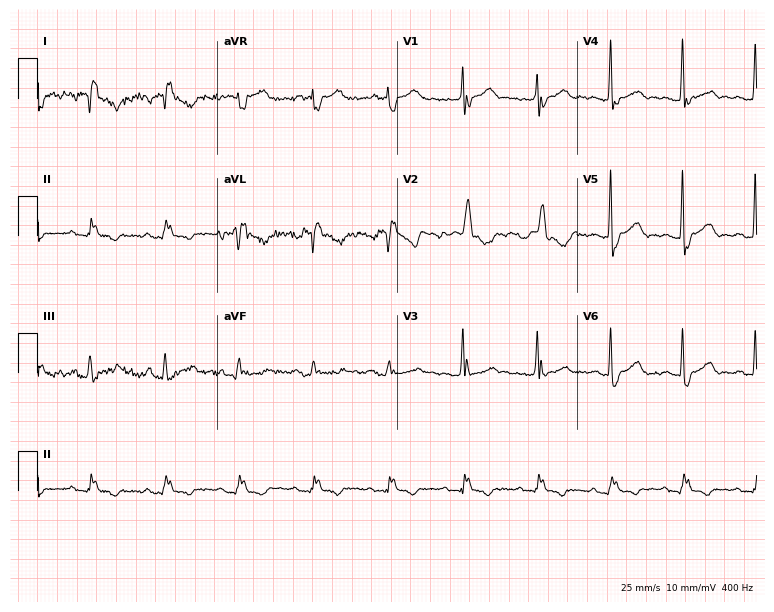
ECG (7.3-second recording at 400 Hz) — a 61-year-old man. Screened for six findings — first-degree AV block, right bundle branch block, left bundle branch block, sinus bradycardia, atrial fibrillation, sinus tachycardia — none is recorded. Other findings, if any, are not listed.